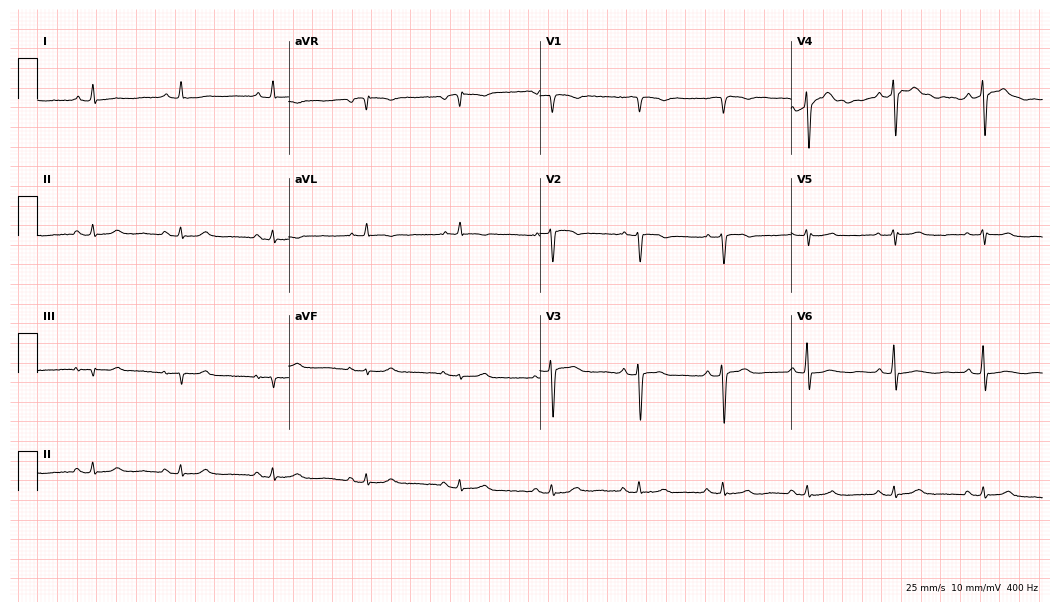
Resting 12-lead electrocardiogram (10.2-second recording at 400 Hz). Patient: a male, 62 years old. None of these six findings is recorded: first-degree AV block, right bundle branch block, left bundle branch block, sinus bradycardia, atrial fibrillation, sinus tachycardia. Findings outside these six are not listed.